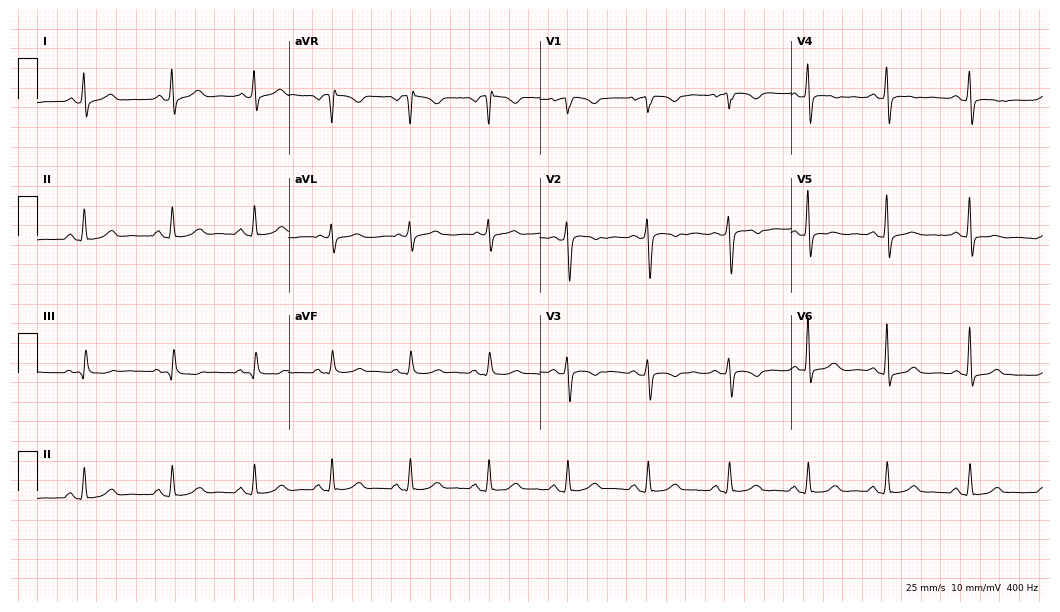
ECG — a female patient, 42 years old. Labelled as a normal ECG.